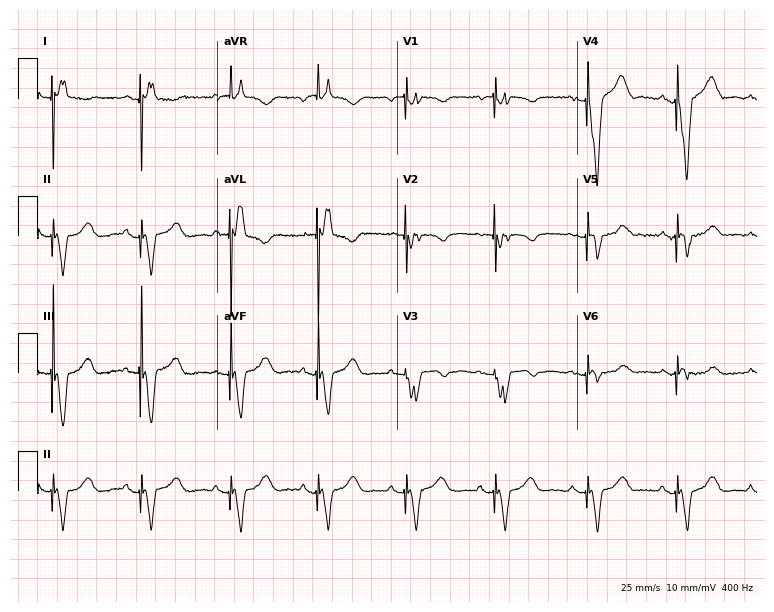
ECG — an 81-year-old woman. Screened for six findings — first-degree AV block, right bundle branch block (RBBB), left bundle branch block (LBBB), sinus bradycardia, atrial fibrillation (AF), sinus tachycardia — none is recorded.